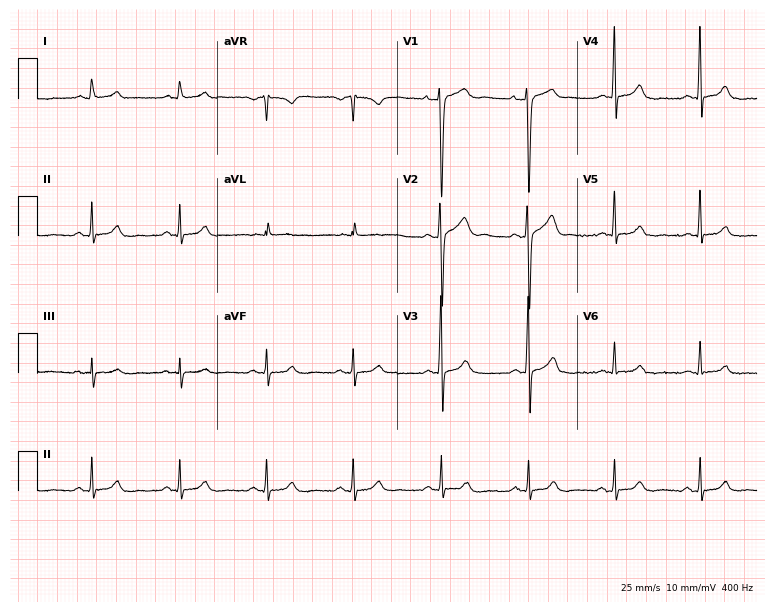
ECG (7.3-second recording at 400 Hz) — a 34-year-old male. Labelled as a normal ECG.